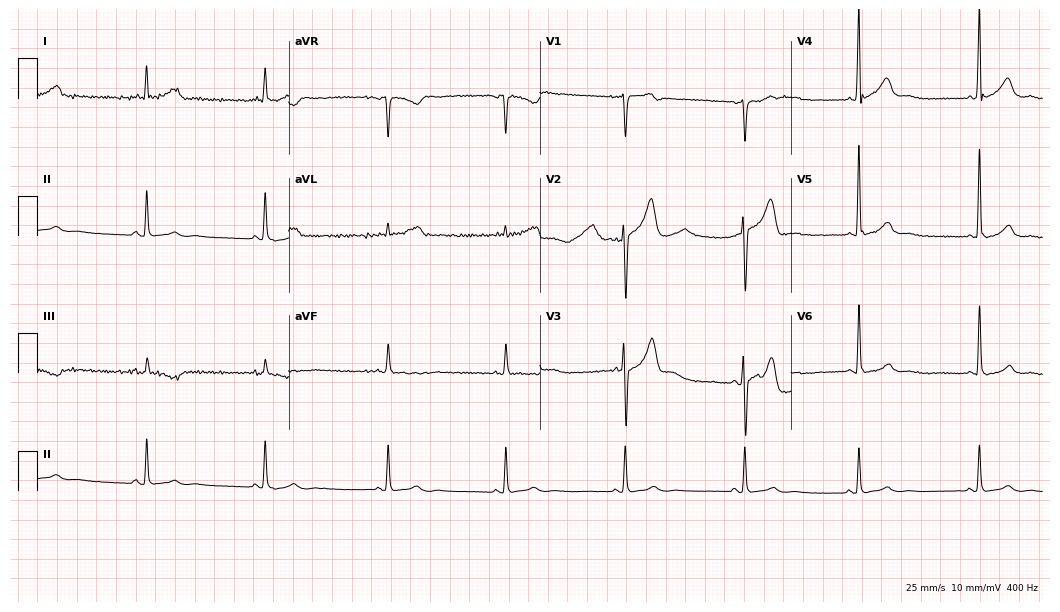
Standard 12-lead ECG recorded from a 41-year-old male (10.2-second recording at 400 Hz). The tracing shows sinus bradycardia (a sinus rate of 50 beats per minute or less).